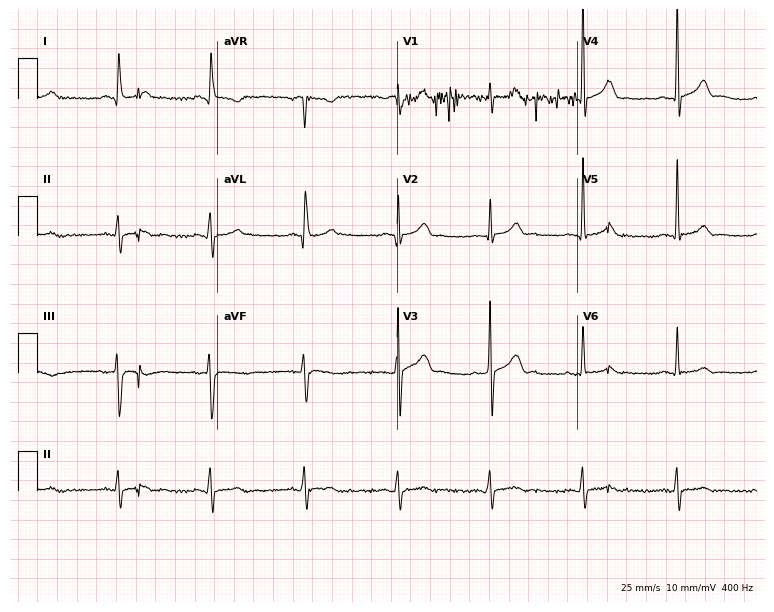
Resting 12-lead electrocardiogram. Patient: a man, 57 years old. None of these six findings is recorded: first-degree AV block, right bundle branch block, left bundle branch block, sinus bradycardia, atrial fibrillation, sinus tachycardia. Only these six findings were labelled.